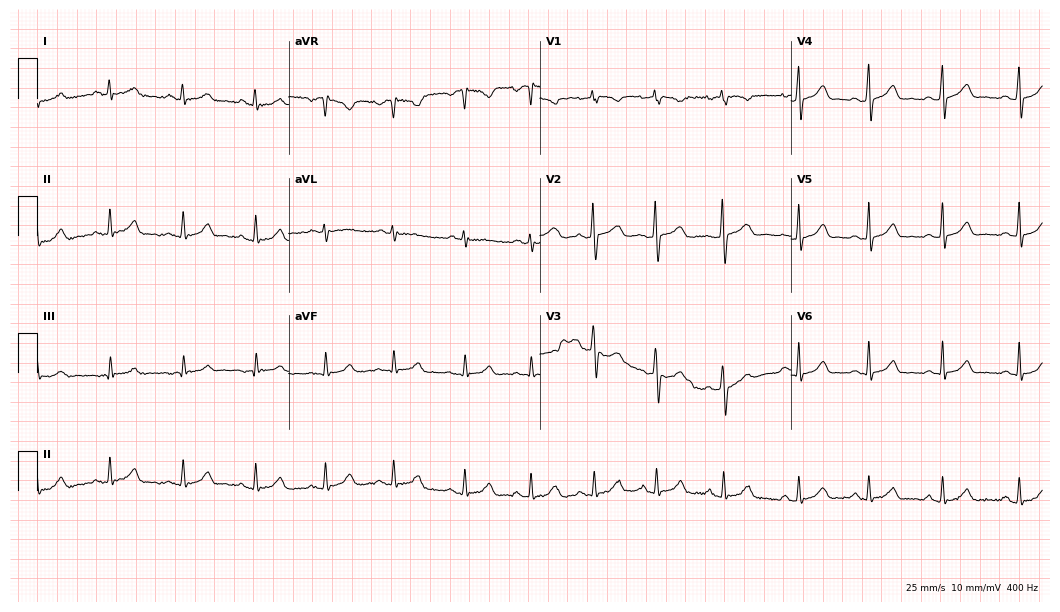
Standard 12-lead ECG recorded from a female patient, 18 years old (10.2-second recording at 400 Hz). Read as a normal ECG.